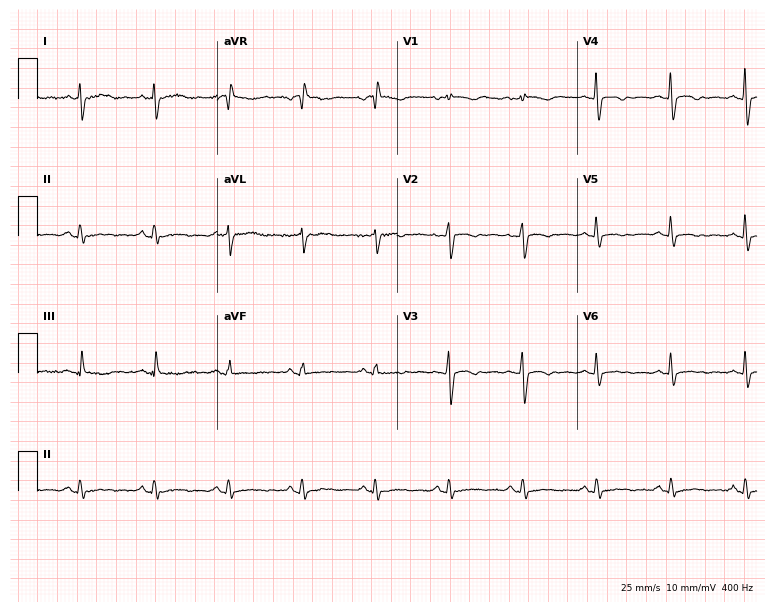
Electrocardiogram, a 41-year-old female patient. Of the six screened findings (first-degree AV block, right bundle branch block (RBBB), left bundle branch block (LBBB), sinus bradycardia, atrial fibrillation (AF), sinus tachycardia), none is recorded. Only these six findings were labelled.